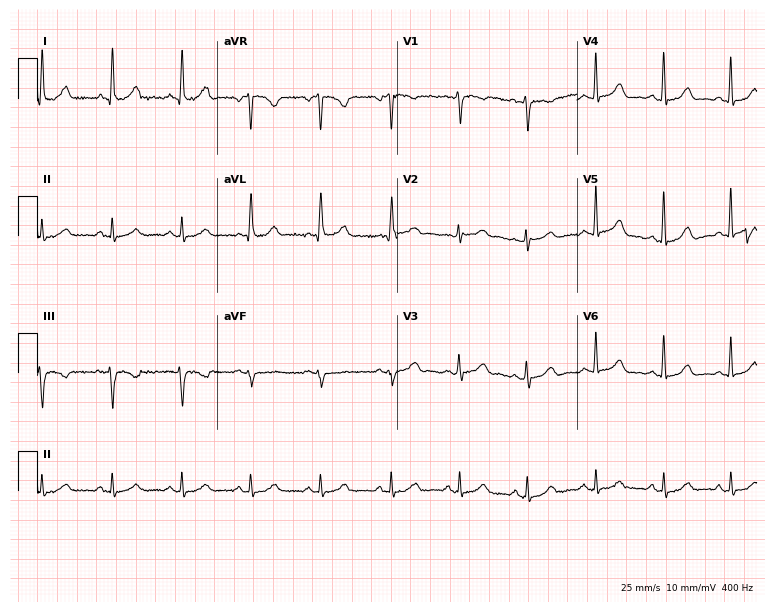
Resting 12-lead electrocardiogram (7.3-second recording at 400 Hz). Patient: a woman, 53 years old. Read as a normal ECG.